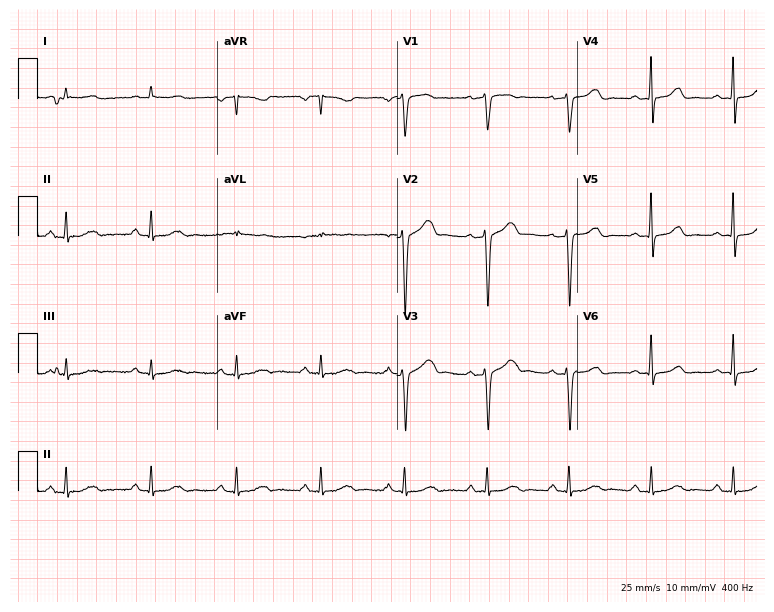
Resting 12-lead electrocardiogram (7.3-second recording at 400 Hz). Patient: a woman, 54 years old. Read as a normal ECG.